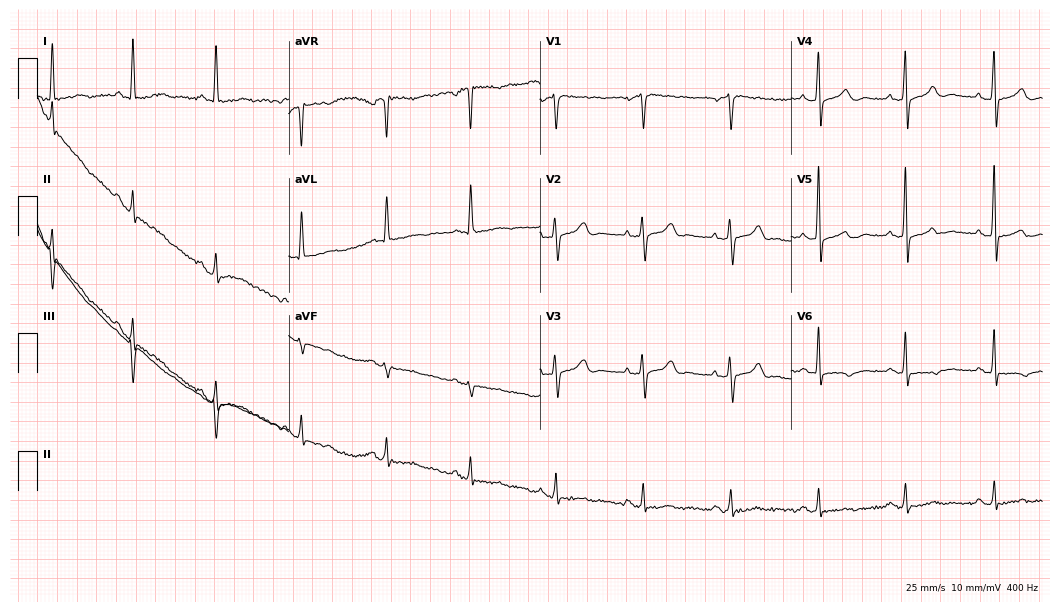
Resting 12-lead electrocardiogram (10.2-second recording at 400 Hz). Patient: a 59-year-old female. None of these six findings is recorded: first-degree AV block, right bundle branch block (RBBB), left bundle branch block (LBBB), sinus bradycardia, atrial fibrillation (AF), sinus tachycardia. Findings outside these six are not listed.